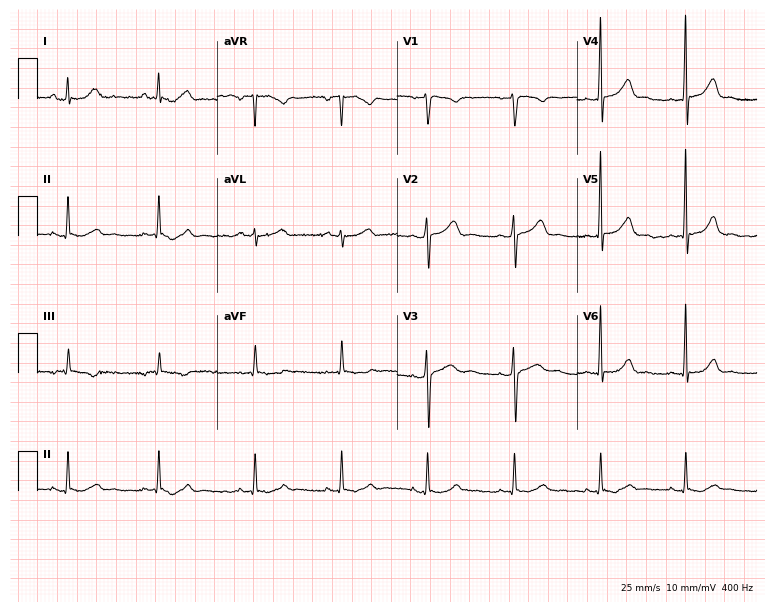
12-lead ECG from a female, 39 years old. Screened for six findings — first-degree AV block, right bundle branch block (RBBB), left bundle branch block (LBBB), sinus bradycardia, atrial fibrillation (AF), sinus tachycardia — none is recorded.